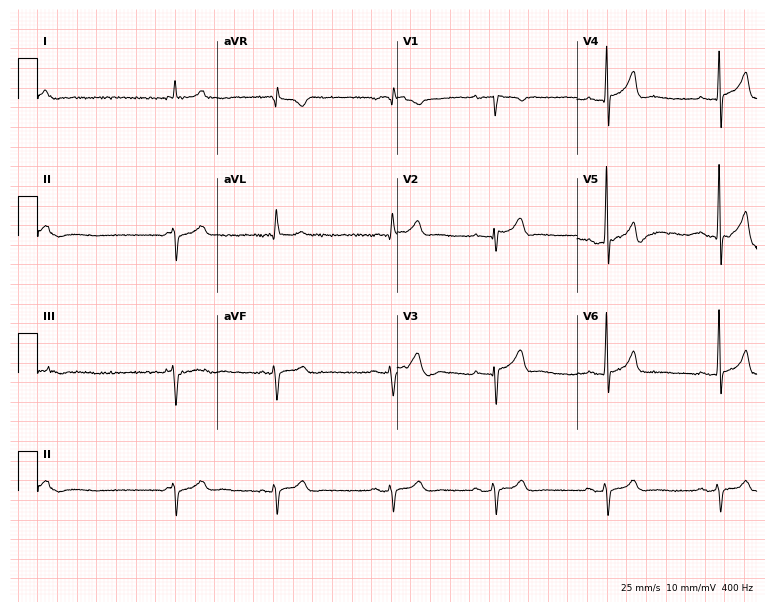
Electrocardiogram (7.3-second recording at 400 Hz), a 46-year-old man. Of the six screened findings (first-degree AV block, right bundle branch block (RBBB), left bundle branch block (LBBB), sinus bradycardia, atrial fibrillation (AF), sinus tachycardia), none is recorded.